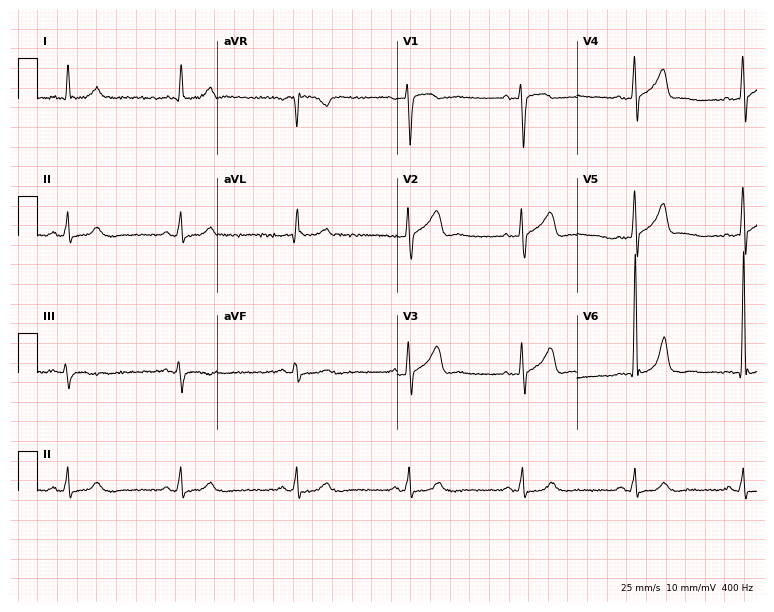
12-lead ECG (7.3-second recording at 400 Hz) from a male patient, 64 years old. Labelled as a normal ECG.